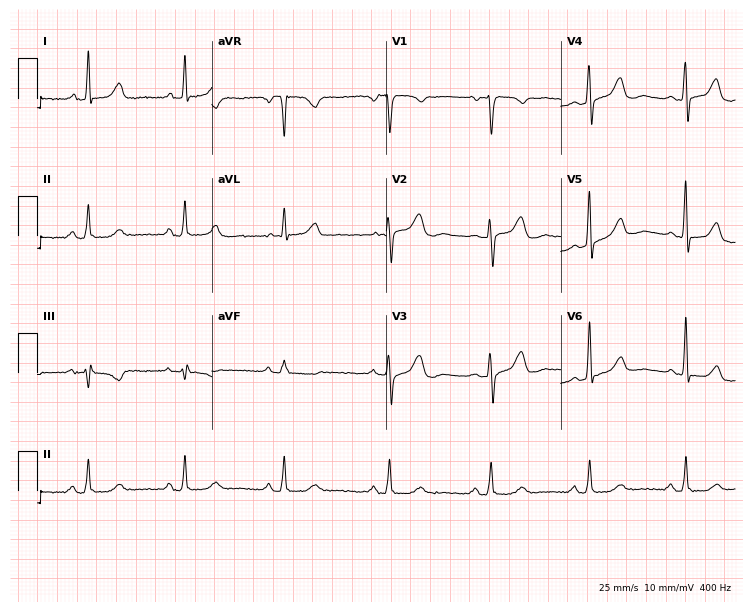
Standard 12-lead ECG recorded from a 51-year-old female patient. Read as a normal ECG.